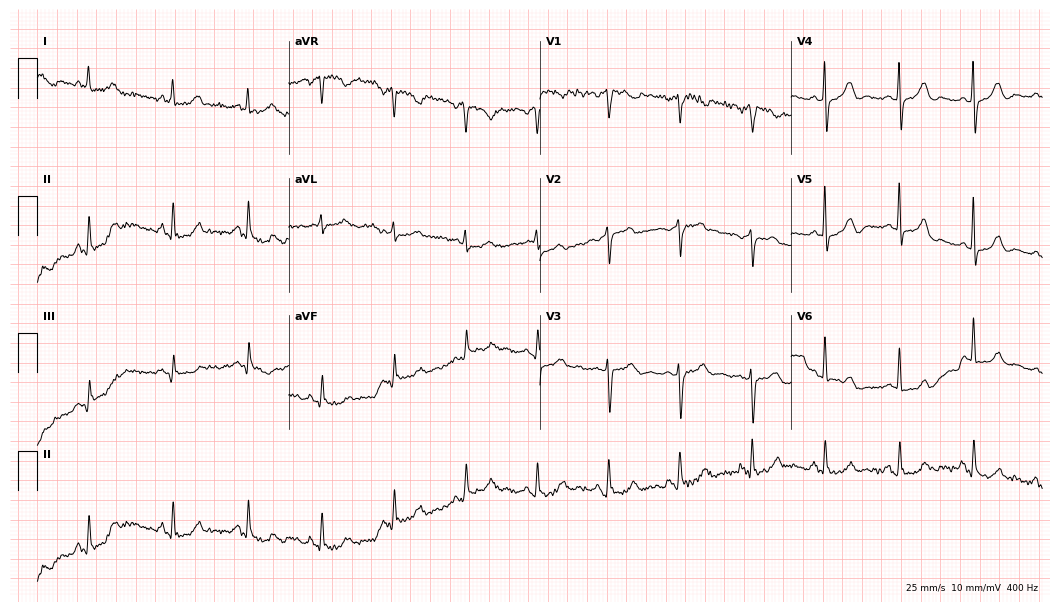
12-lead ECG (10.2-second recording at 400 Hz) from a woman, 74 years old. Screened for six findings — first-degree AV block, right bundle branch block, left bundle branch block, sinus bradycardia, atrial fibrillation, sinus tachycardia — none is recorded.